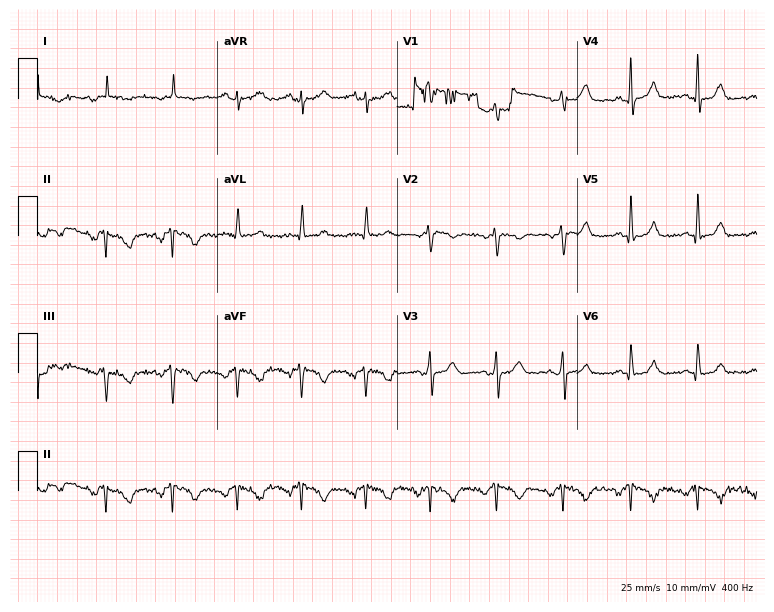
12-lead ECG from a woman, 53 years old (7.3-second recording at 400 Hz). No first-degree AV block, right bundle branch block (RBBB), left bundle branch block (LBBB), sinus bradycardia, atrial fibrillation (AF) or sinus tachycardia recorded for this tracing.